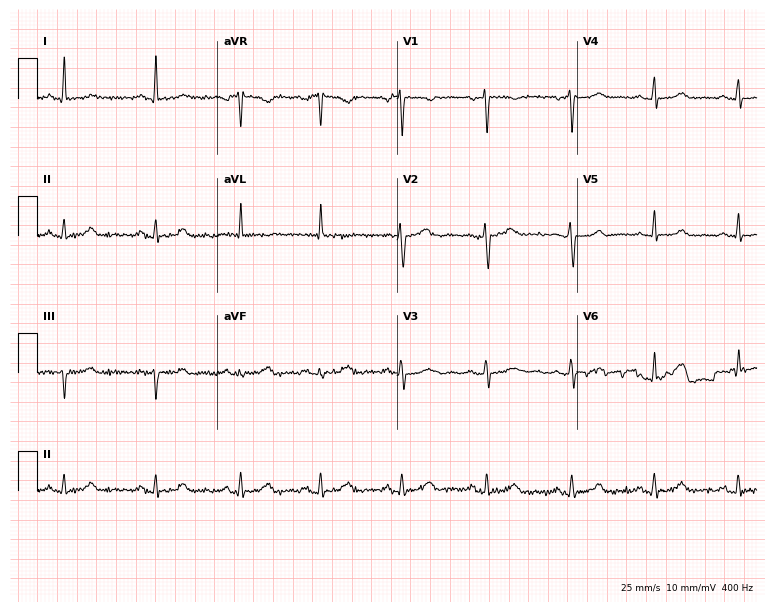
12-lead ECG from a female, 46 years old. No first-degree AV block, right bundle branch block (RBBB), left bundle branch block (LBBB), sinus bradycardia, atrial fibrillation (AF) or sinus tachycardia recorded for this tracing.